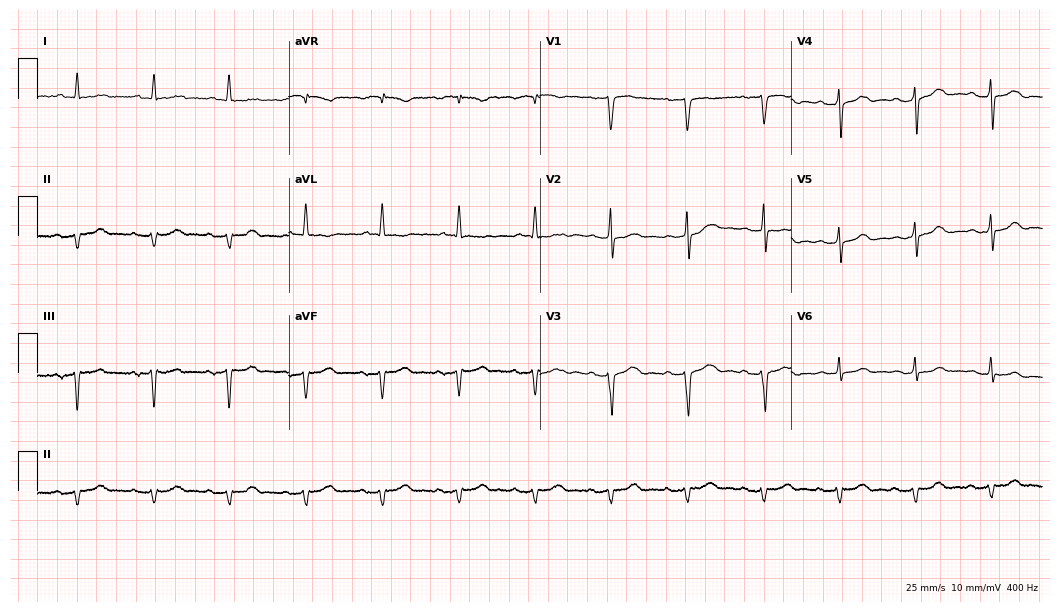
Electrocardiogram, a female patient, 82 years old. Of the six screened findings (first-degree AV block, right bundle branch block (RBBB), left bundle branch block (LBBB), sinus bradycardia, atrial fibrillation (AF), sinus tachycardia), none is recorded. Only these six findings were labelled.